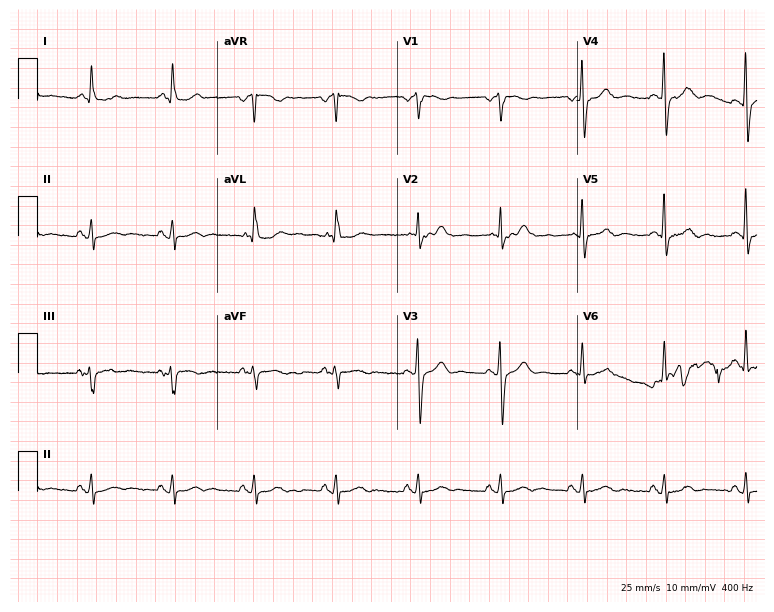
12-lead ECG from a man, 60 years old (7.3-second recording at 400 Hz). Recorded interpretation: within normal limits.